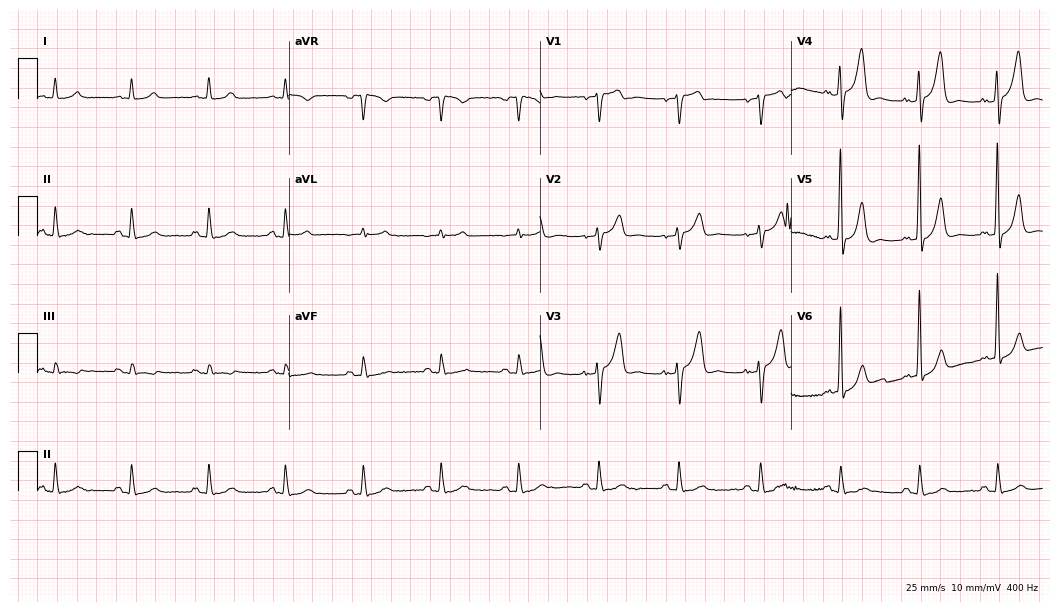
Resting 12-lead electrocardiogram. Patient: an 81-year-old man. None of these six findings is recorded: first-degree AV block, right bundle branch block (RBBB), left bundle branch block (LBBB), sinus bradycardia, atrial fibrillation (AF), sinus tachycardia.